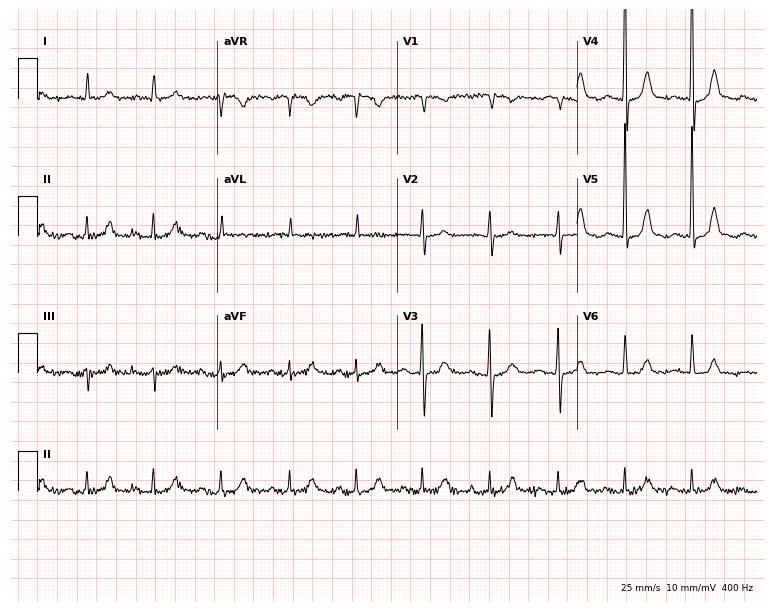
ECG (7.3-second recording at 400 Hz) — an 82-year-old female patient. Screened for six findings — first-degree AV block, right bundle branch block, left bundle branch block, sinus bradycardia, atrial fibrillation, sinus tachycardia — none is recorded. Only these six findings were labelled.